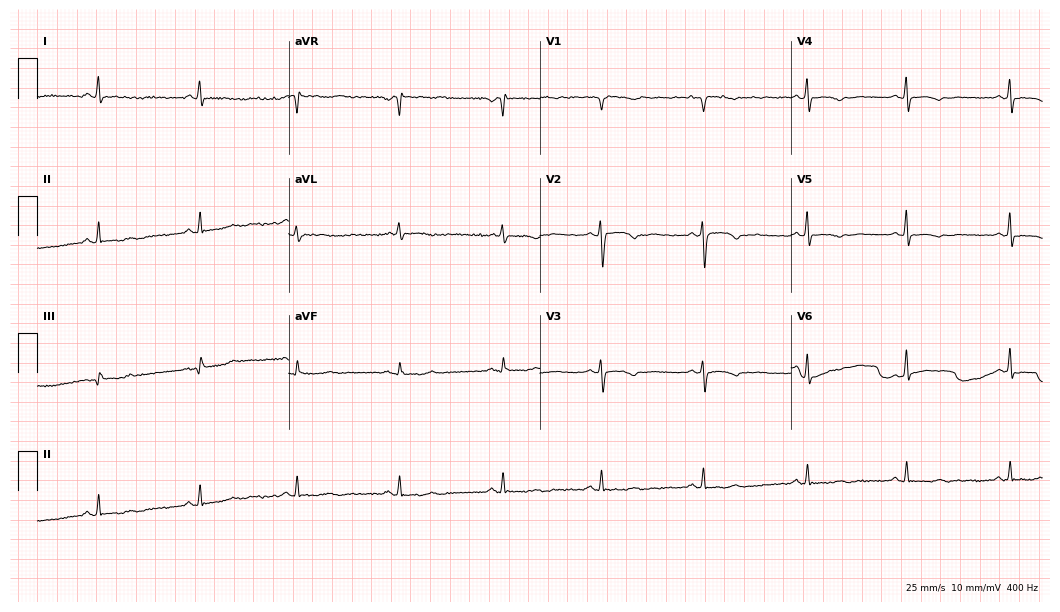
12-lead ECG from a 51-year-old female. No first-degree AV block, right bundle branch block, left bundle branch block, sinus bradycardia, atrial fibrillation or sinus tachycardia recorded for this tracing.